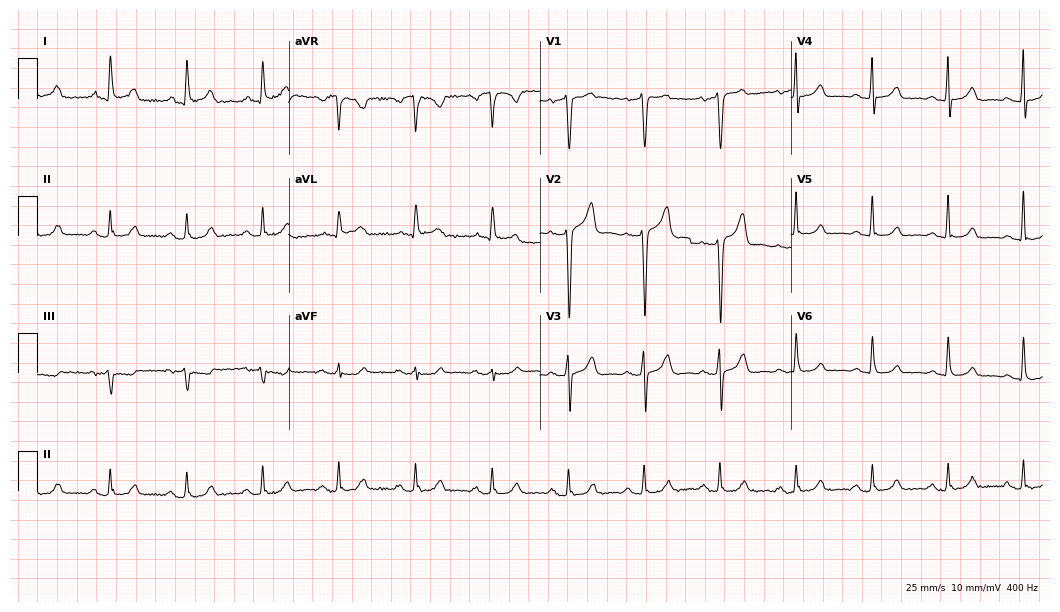
12-lead ECG from a 51-year-old male patient. Labelled as a normal ECG.